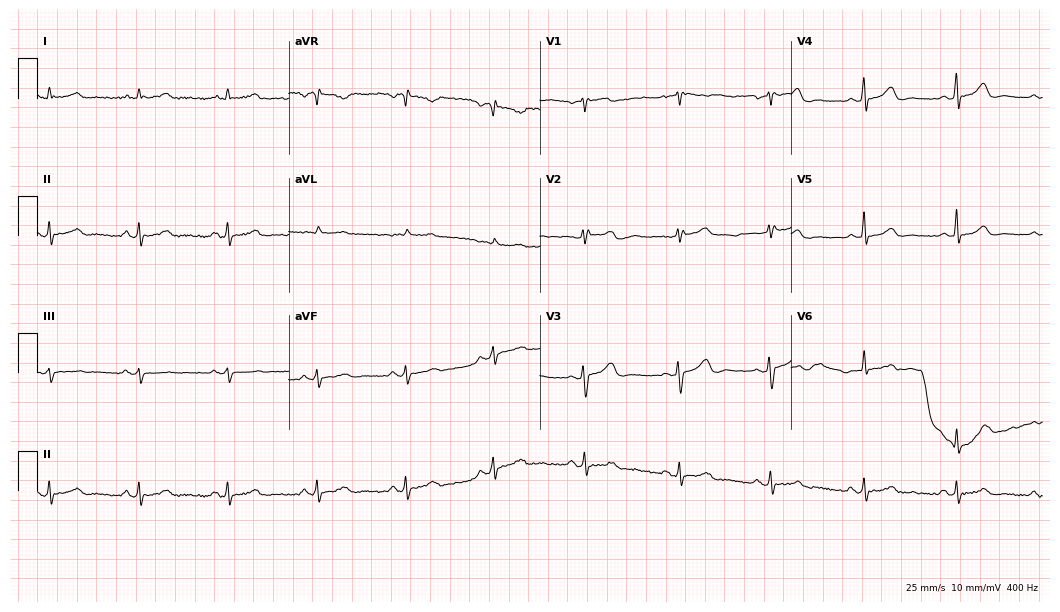
ECG — a 43-year-old woman. Labelled as a normal ECG.